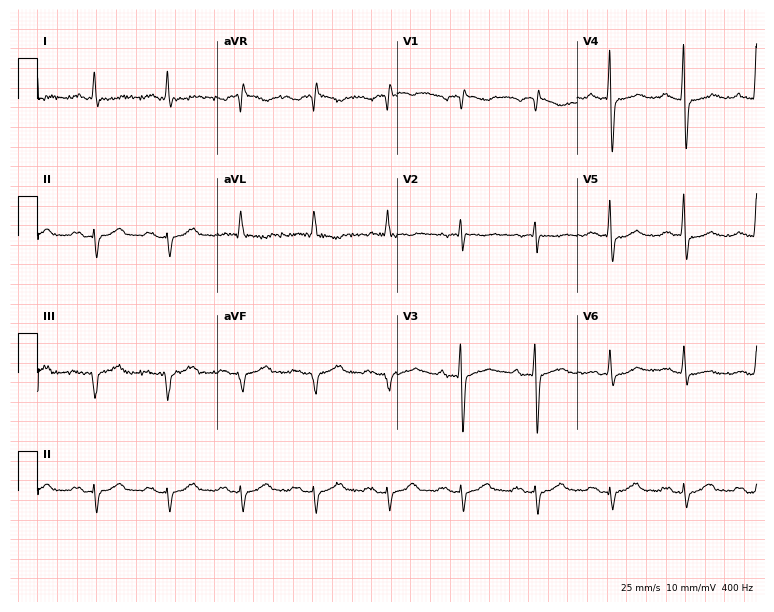
Electrocardiogram, a male patient, 72 years old. Of the six screened findings (first-degree AV block, right bundle branch block (RBBB), left bundle branch block (LBBB), sinus bradycardia, atrial fibrillation (AF), sinus tachycardia), none is recorded. Findings outside these six are not listed.